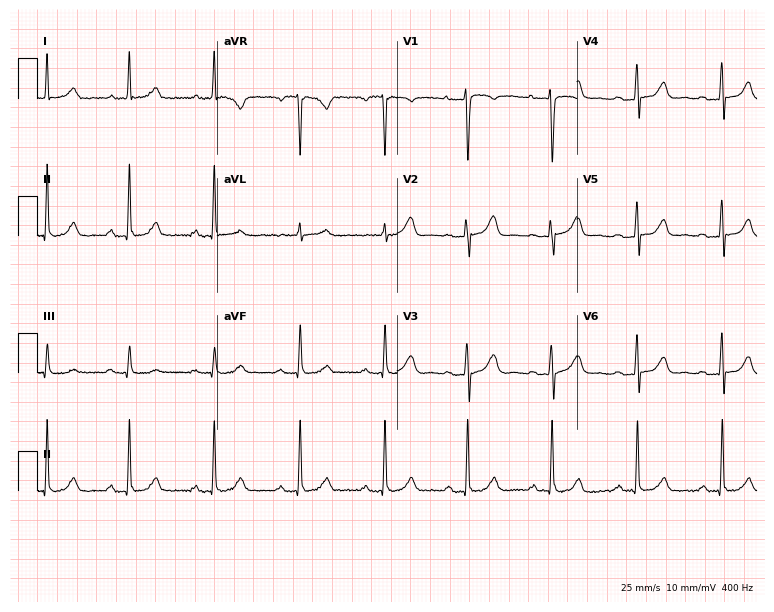
12-lead ECG from a woman, 36 years old. Recorded interpretation: within normal limits.